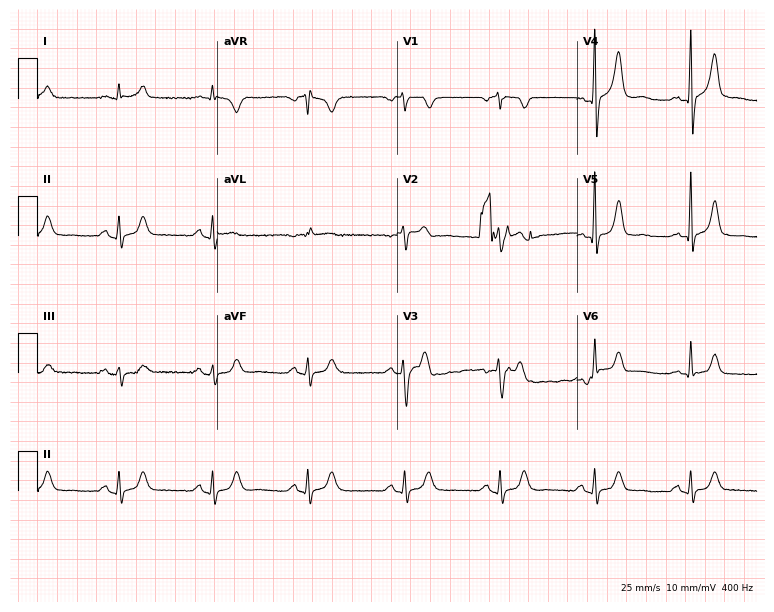
Electrocardiogram (7.3-second recording at 400 Hz), a 55-year-old female patient. Overall reading on record: normal ECG.